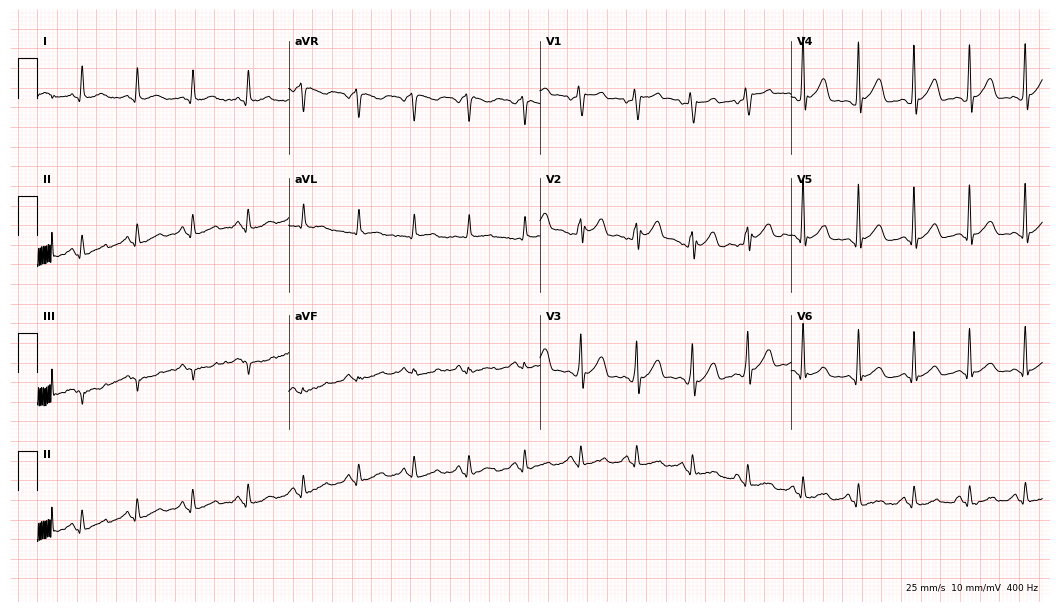
Resting 12-lead electrocardiogram (10.2-second recording at 400 Hz). Patient: a 47-year-old man. None of these six findings is recorded: first-degree AV block, right bundle branch block, left bundle branch block, sinus bradycardia, atrial fibrillation, sinus tachycardia. Other findings, if any, are not listed.